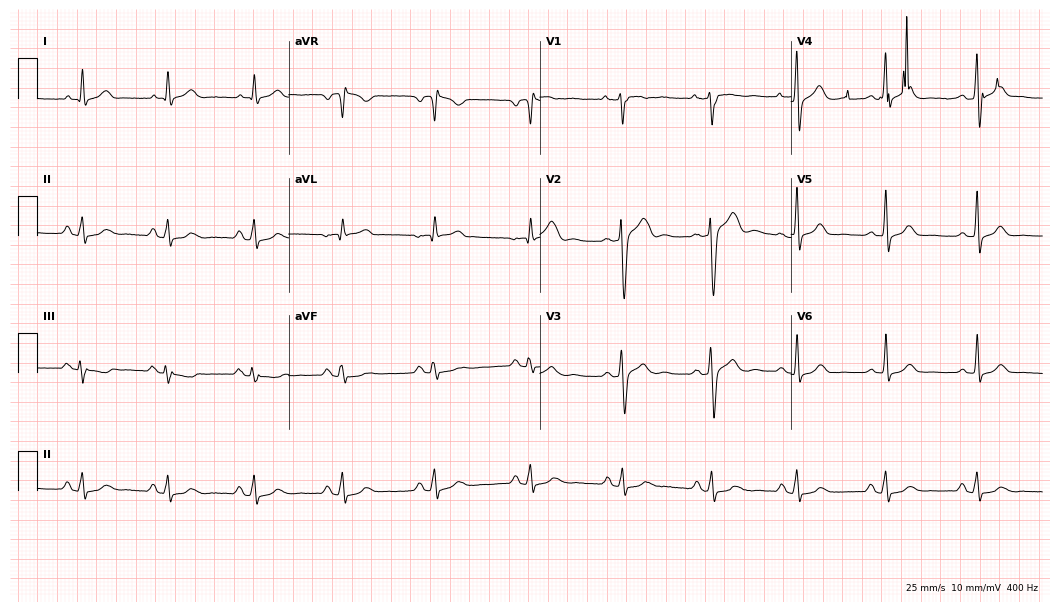
Electrocardiogram, a 46-year-old male. Of the six screened findings (first-degree AV block, right bundle branch block, left bundle branch block, sinus bradycardia, atrial fibrillation, sinus tachycardia), none is recorded.